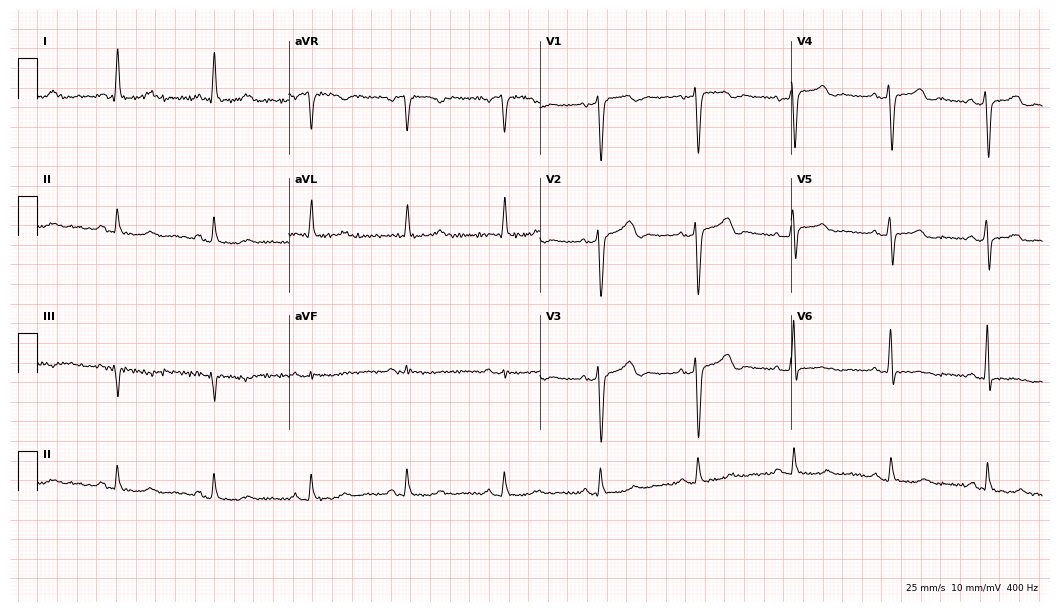
12-lead ECG (10.2-second recording at 400 Hz) from a male, 75 years old. Screened for six findings — first-degree AV block, right bundle branch block (RBBB), left bundle branch block (LBBB), sinus bradycardia, atrial fibrillation (AF), sinus tachycardia — none is recorded. Other findings, if any, are not listed.